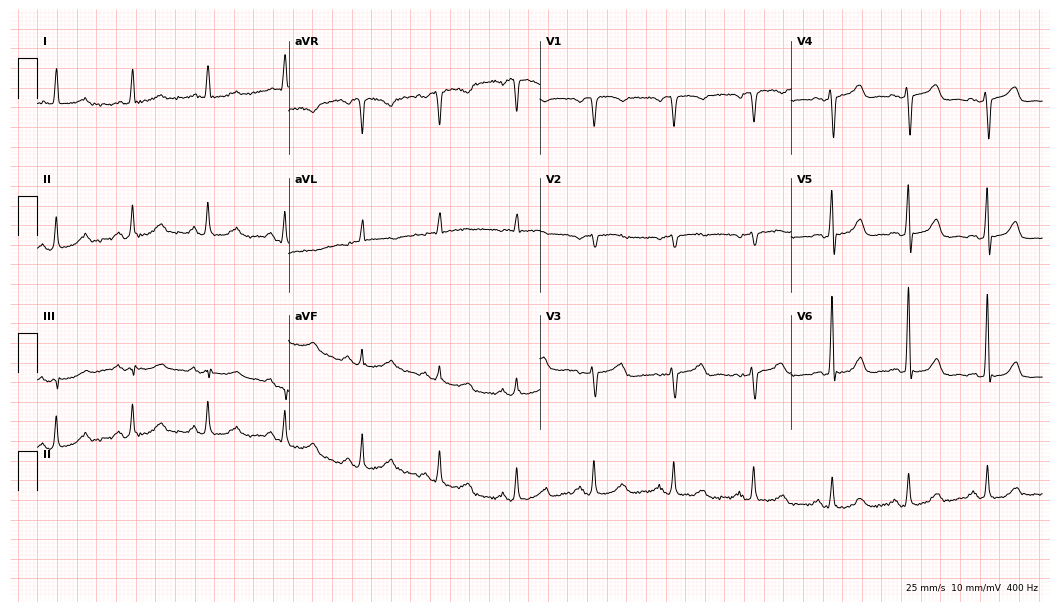
12-lead ECG from a 57-year-old female. Recorded interpretation: within normal limits.